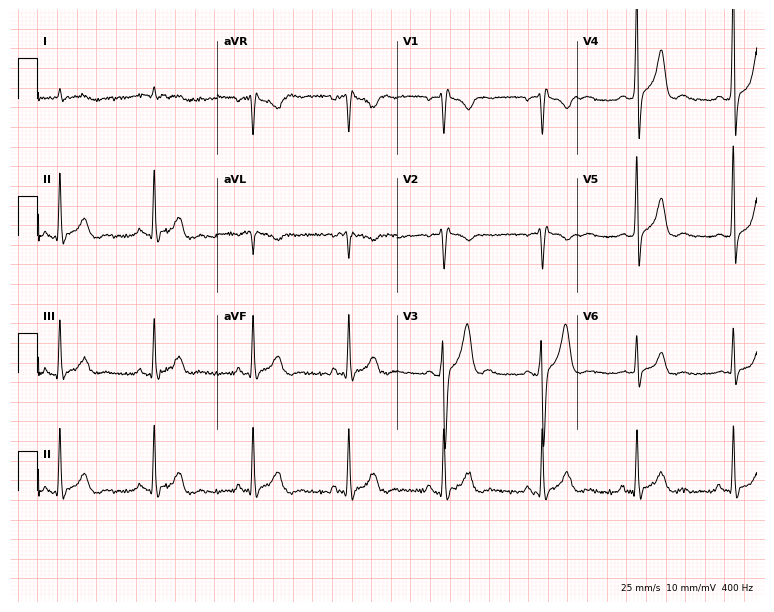
Resting 12-lead electrocardiogram (7.3-second recording at 400 Hz). Patient: a man, 39 years old. Read as a normal ECG.